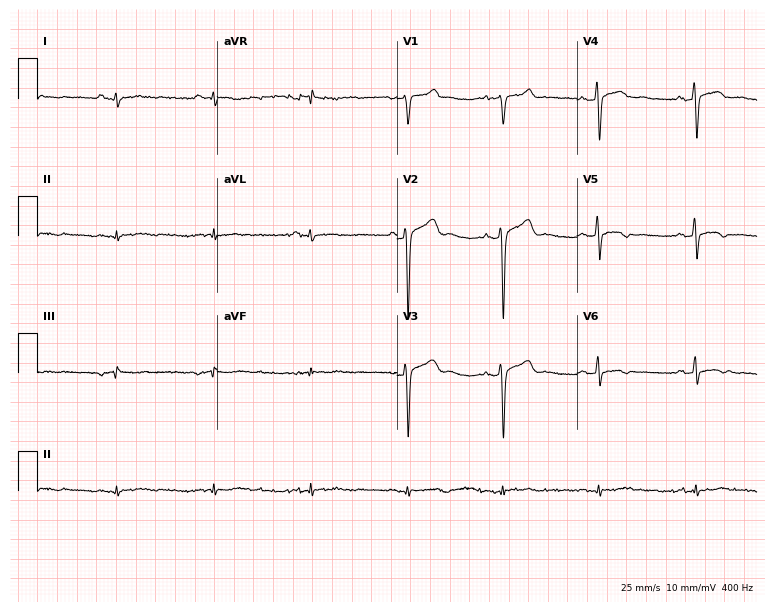
ECG (7.3-second recording at 400 Hz) — a 47-year-old male patient. Screened for six findings — first-degree AV block, right bundle branch block, left bundle branch block, sinus bradycardia, atrial fibrillation, sinus tachycardia — none is recorded.